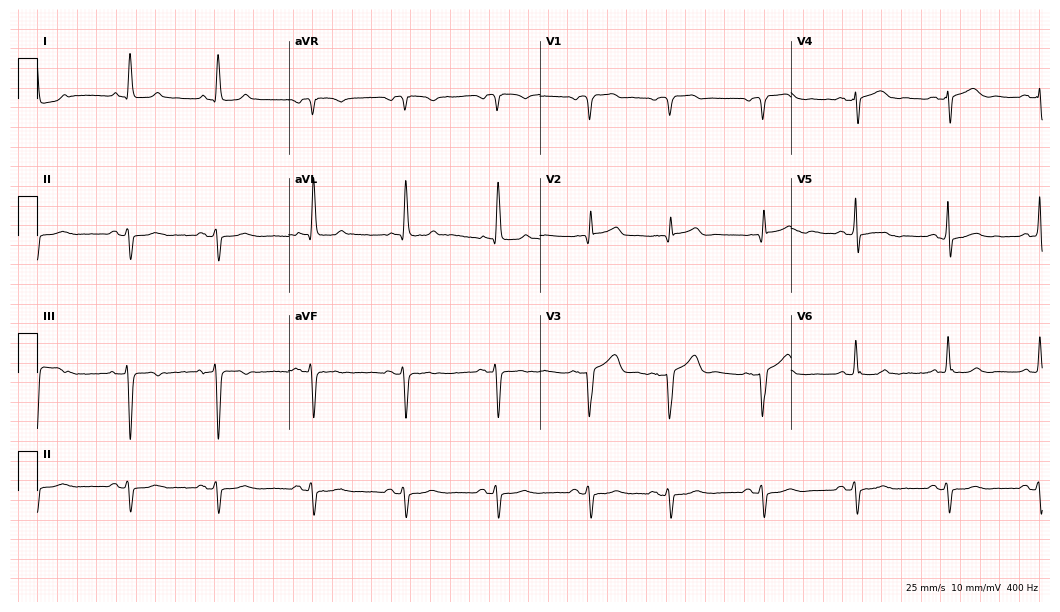
ECG — a male patient, 80 years old. Screened for six findings — first-degree AV block, right bundle branch block, left bundle branch block, sinus bradycardia, atrial fibrillation, sinus tachycardia — none is recorded. Findings outside these six are not listed.